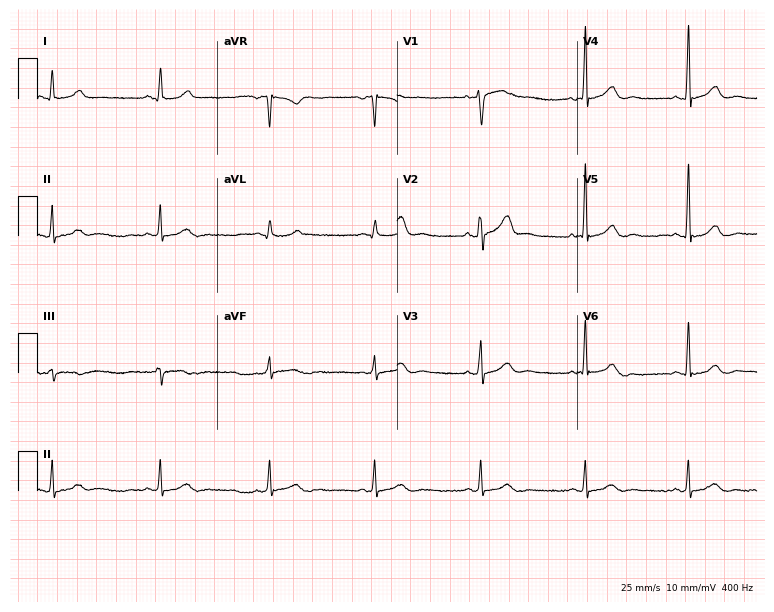
ECG (7.3-second recording at 400 Hz) — a 58-year-old male patient. Screened for six findings — first-degree AV block, right bundle branch block, left bundle branch block, sinus bradycardia, atrial fibrillation, sinus tachycardia — none is recorded.